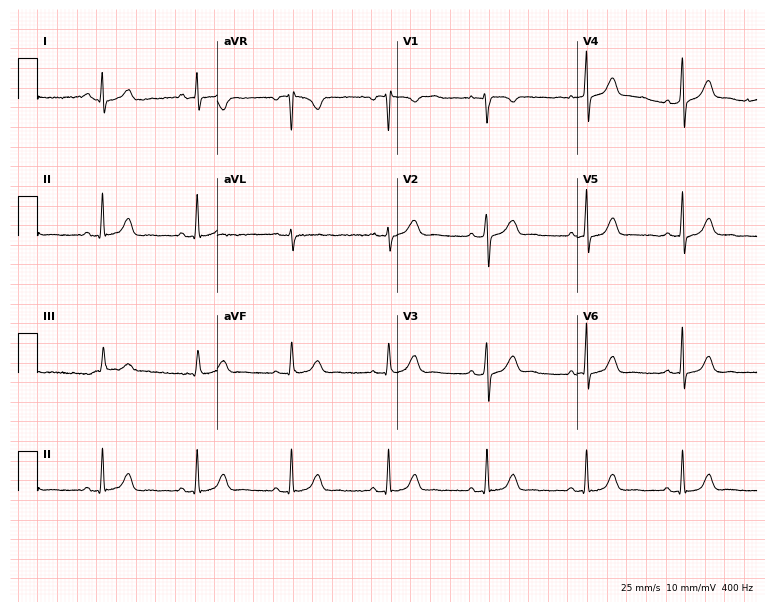
12-lead ECG (7.3-second recording at 400 Hz) from a 40-year-old female patient. Screened for six findings — first-degree AV block, right bundle branch block, left bundle branch block, sinus bradycardia, atrial fibrillation, sinus tachycardia — none is recorded. Other findings, if any, are not listed.